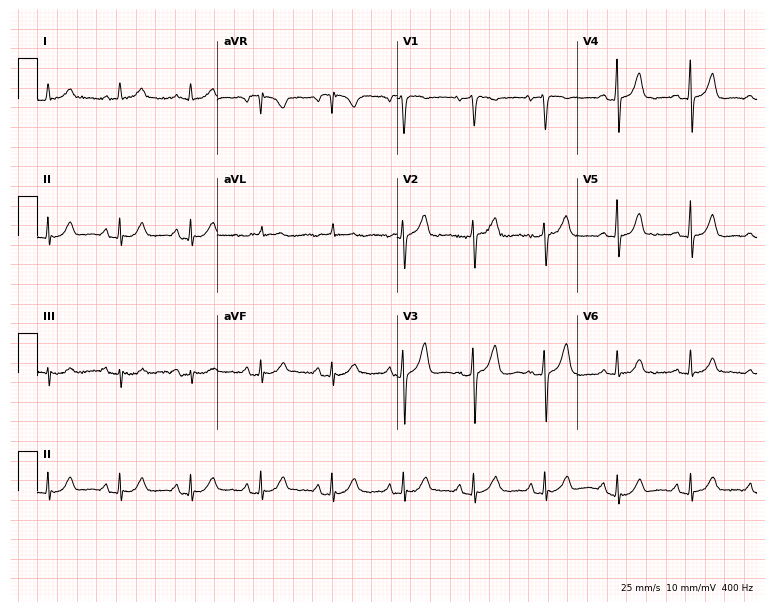
Standard 12-lead ECG recorded from a woman, 58 years old (7.3-second recording at 400 Hz). Read as a normal ECG.